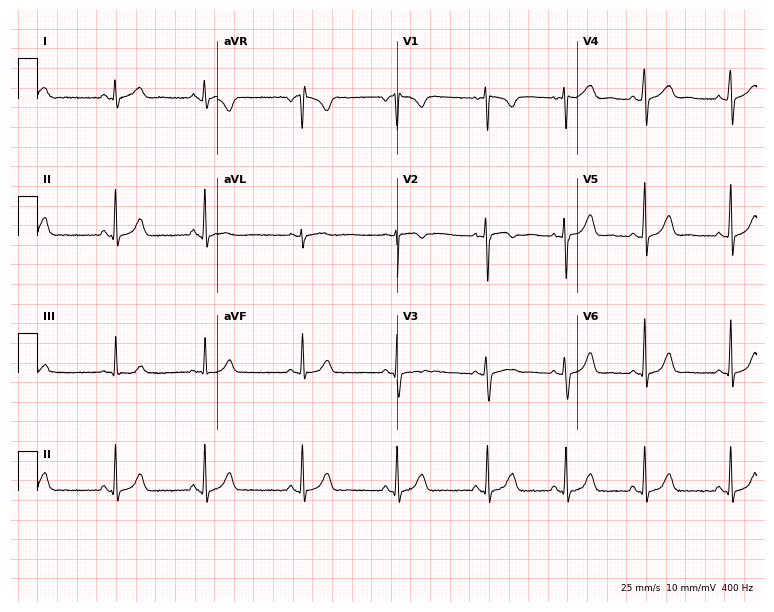
ECG — a 20-year-old woman. Labelled as a normal ECG.